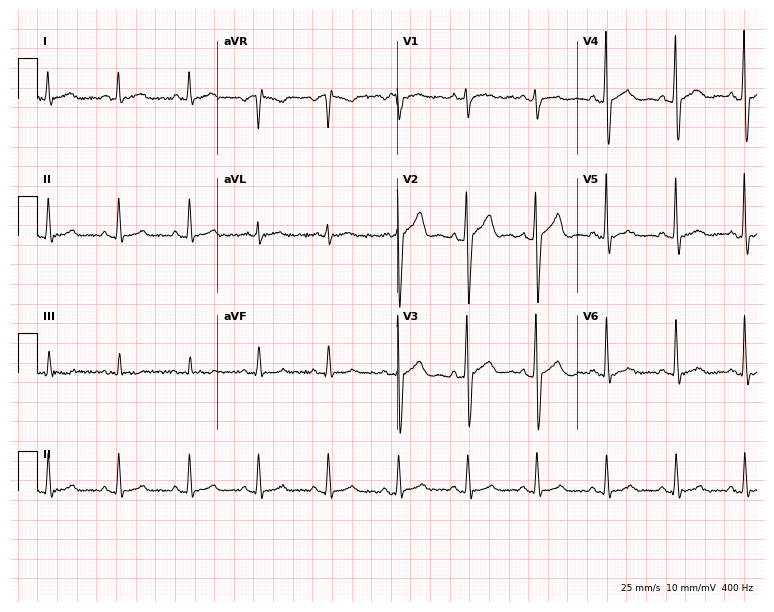
ECG — a 36-year-old male patient. Labelled as a normal ECG.